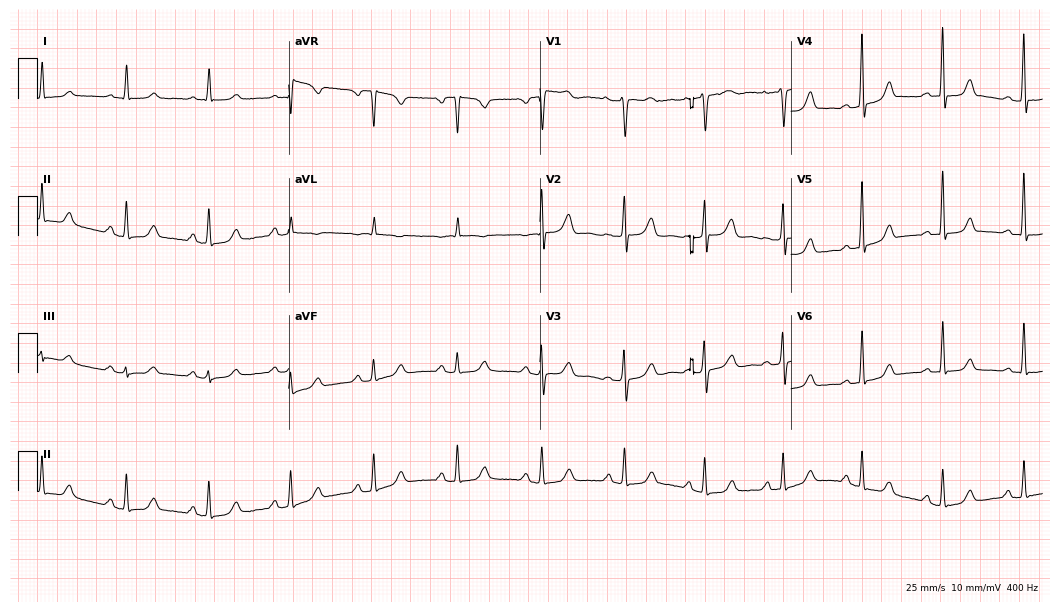
ECG (10.2-second recording at 400 Hz) — a 70-year-old woman. Labelled as a normal ECG.